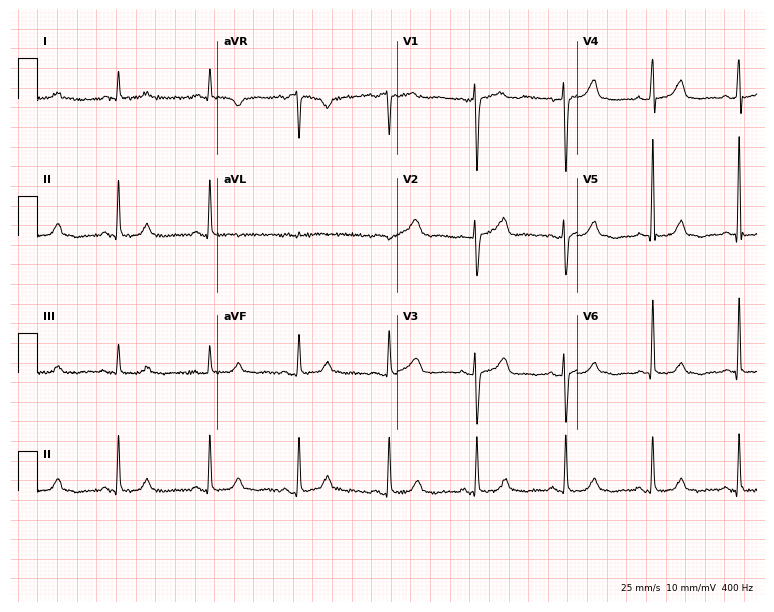
ECG — a 58-year-old woman. Screened for six findings — first-degree AV block, right bundle branch block (RBBB), left bundle branch block (LBBB), sinus bradycardia, atrial fibrillation (AF), sinus tachycardia — none is recorded. Other findings, if any, are not listed.